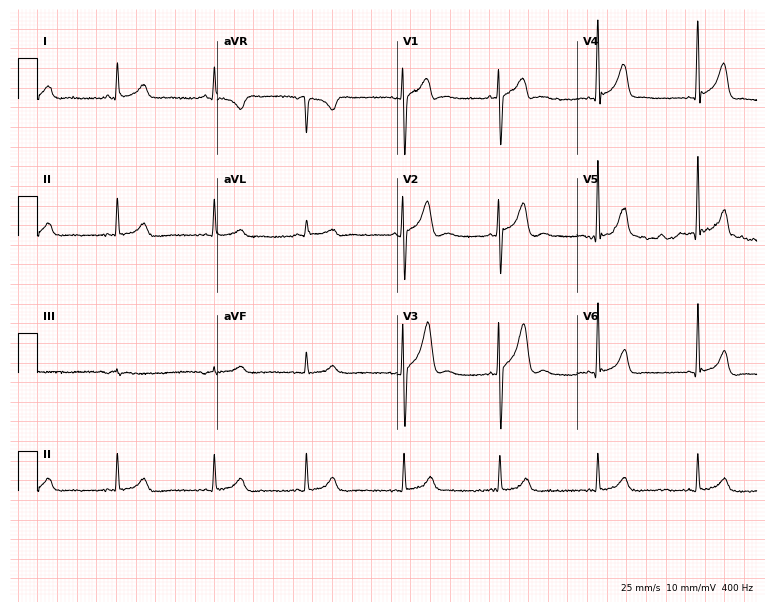
Standard 12-lead ECG recorded from a 26-year-old man. Read as a normal ECG.